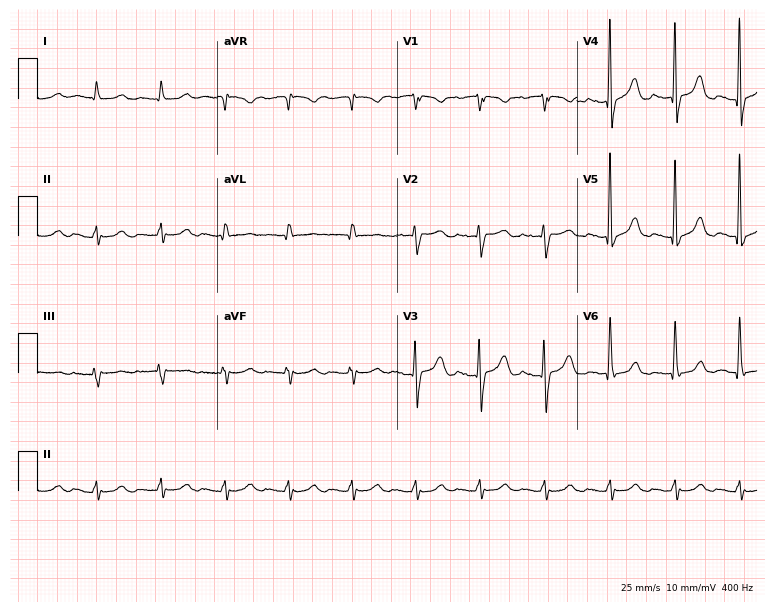
12-lead ECG (7.3-second recording at 400 Hz) from a male, 78 years old. Labelled as a normal ECG.